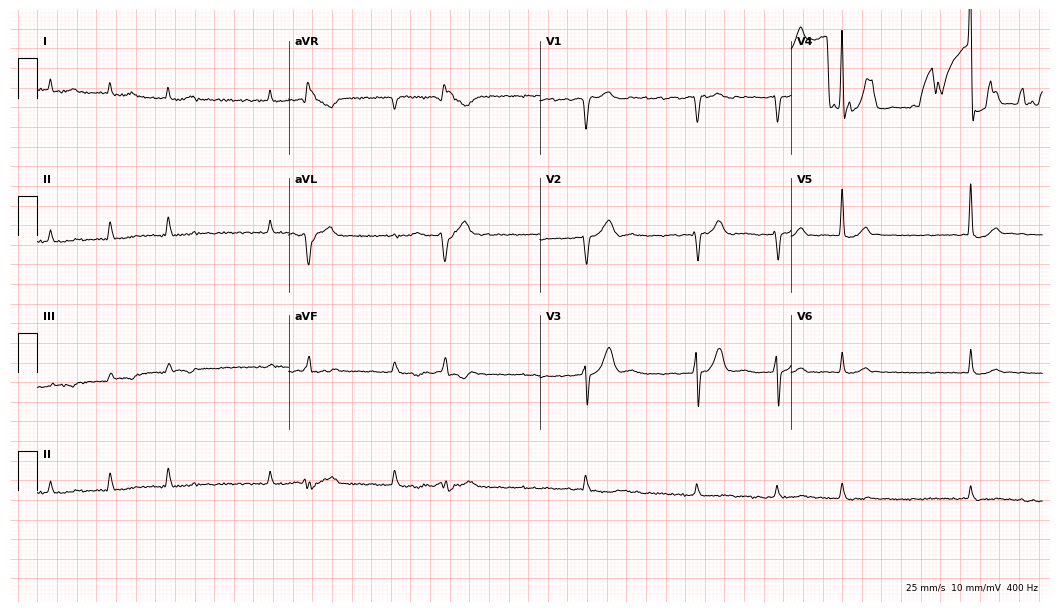
12-lead ECG from an 82-year-old male (10.2-second recording at 400 Hz). Shows atrial fibrillation.